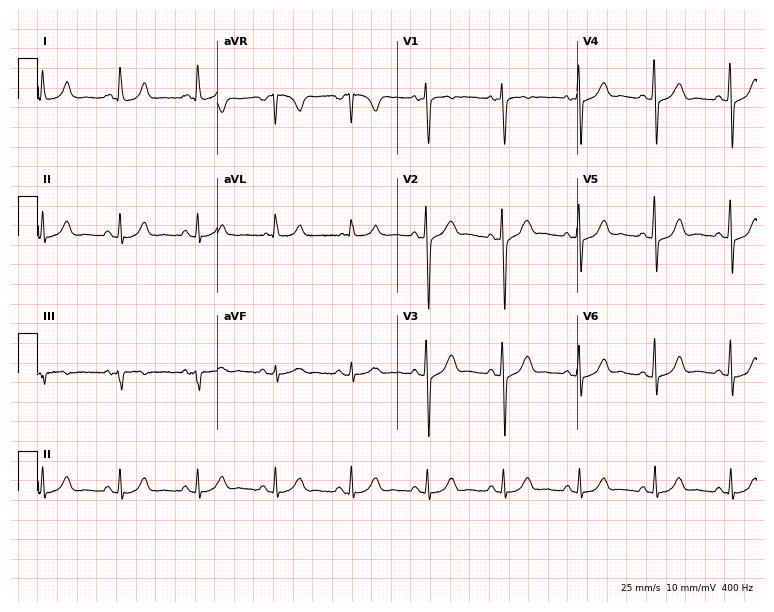
12-lead ECG (7.3-second recording at 400 Hz) from a 57-year-old male patient. Labelled as a normal ECG.